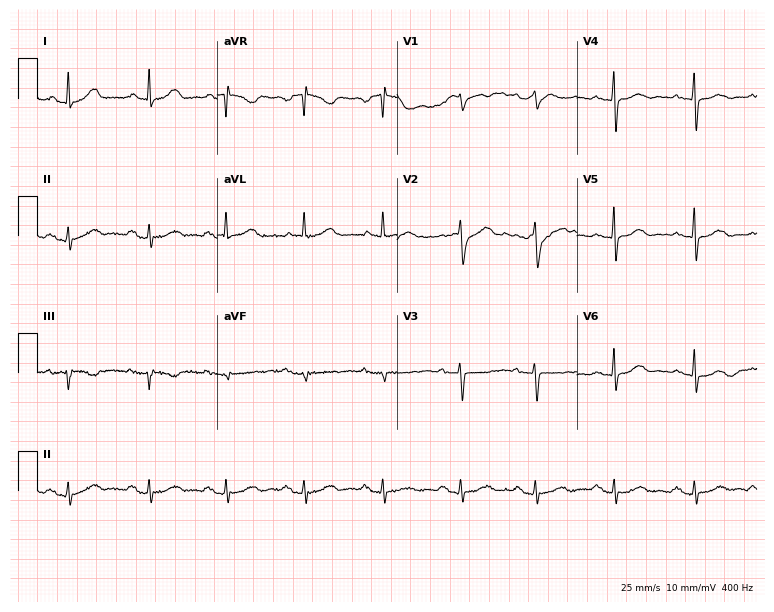
Resting 12-lead electrocardiogram. Patient: a woman, 67 years old. Read as a normal ECG.